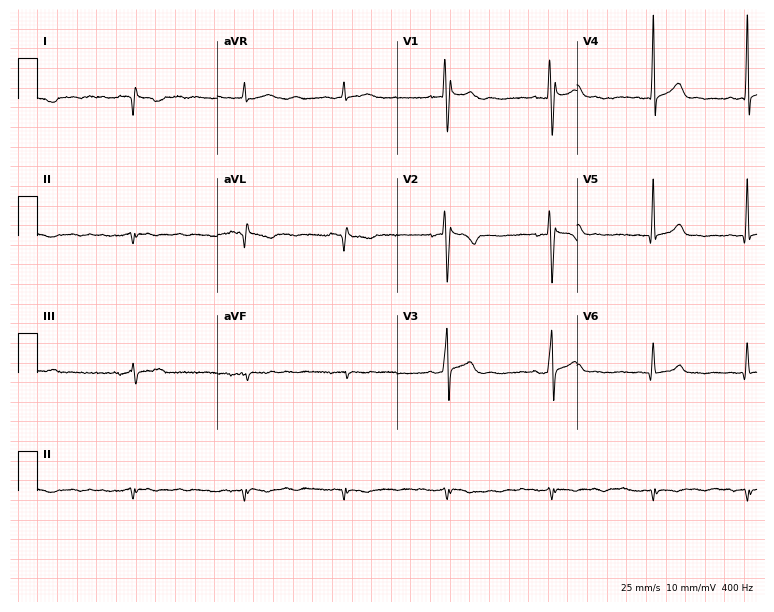
Electrocardiogram, a 27-year-old male. Of the six screened findings (first-degree AV block, right bundle branch block, left bundle branch block, sinus bradycardia, atrial fibrillation, sinus tachycardia), none is recorded.